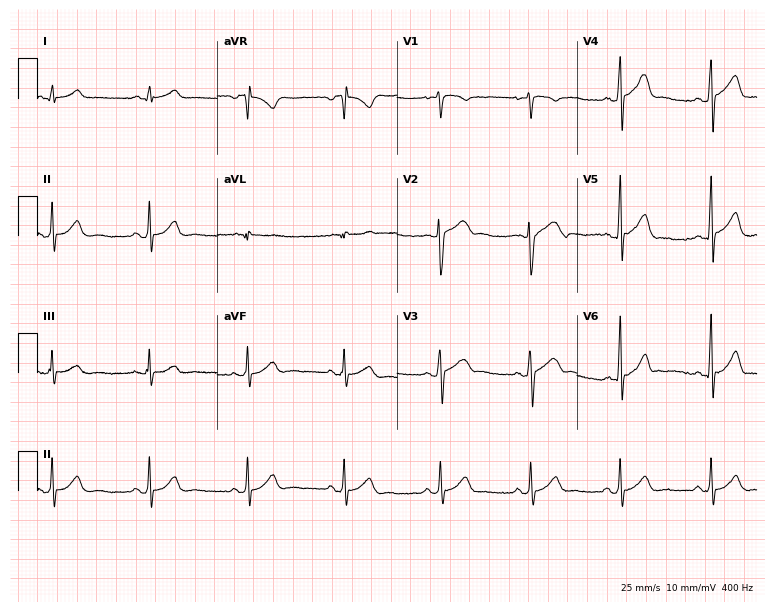
ECG — a male patient, 26 years old. Labelled as a normal ECG.